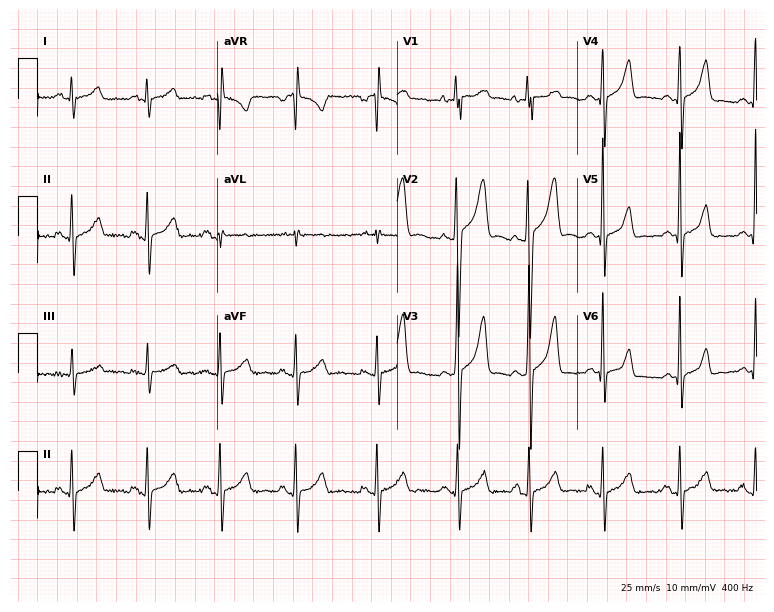
12-lead ECG from a 26-year-old male. Screened for six findings — first-degree AV block, right bundle branch block, left bundle branch block, sinus bradycardia, atrial fibrillation, sinus tachycardia — none is recorded. Findings outside these six are not listed.